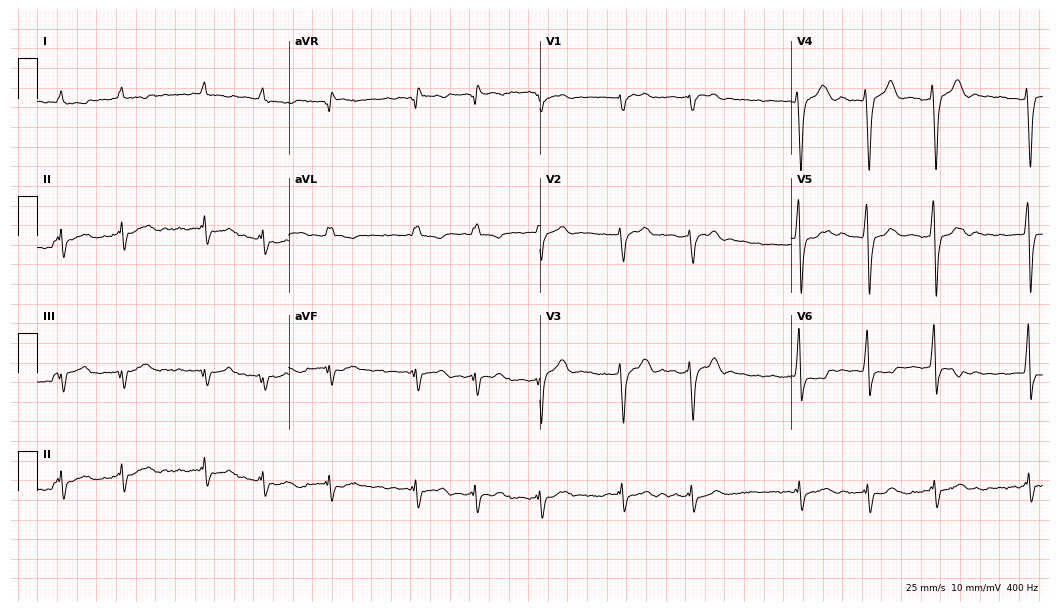
12-lead ECG from a male, 80 years old. Findings include atrial fibrillation.